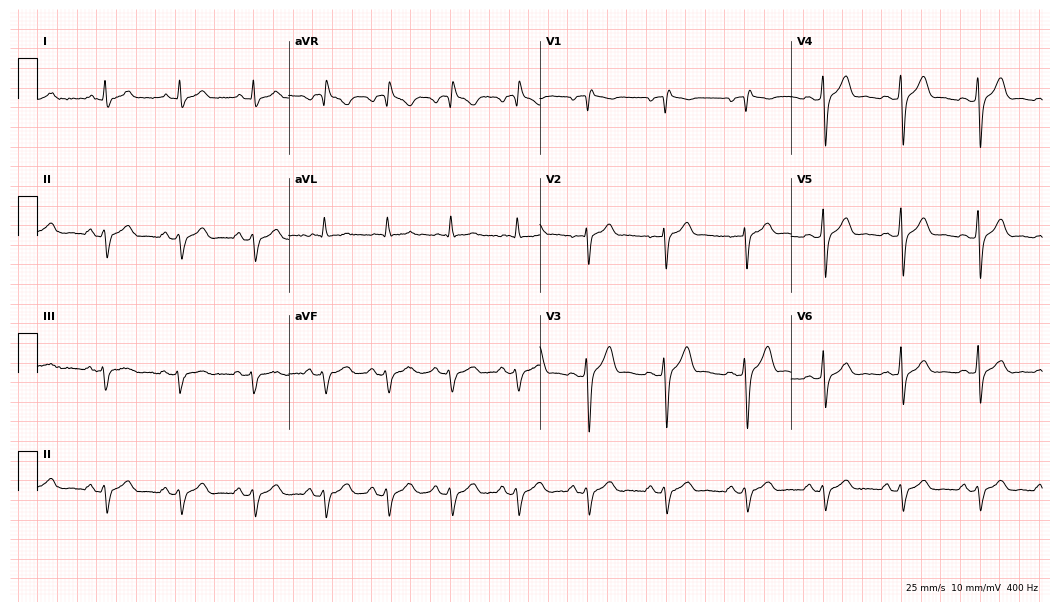
Standard 12-lead ECG recorded from a 39-year-old male (10.2-second recording at 400 Hz). None of these six findings is recorded: first-degree AV block, right bundle branch block (RBBB), left bundle branch block (LBBB), sinus bradycardia, atrial fibrillation (AF), sinus tachycardia.